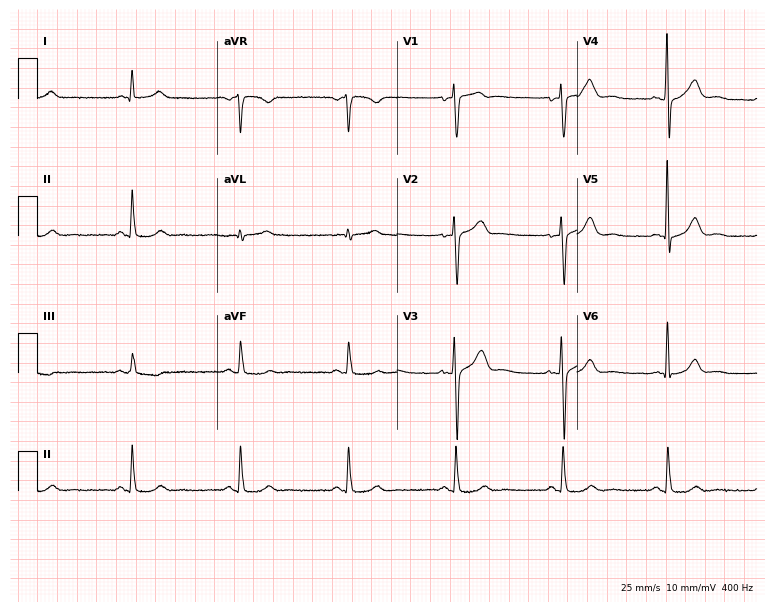
12-lead ECG from a man, 52 years old (7.3-second recording at 400 Hz). Recorded interpretation: within normal limits.